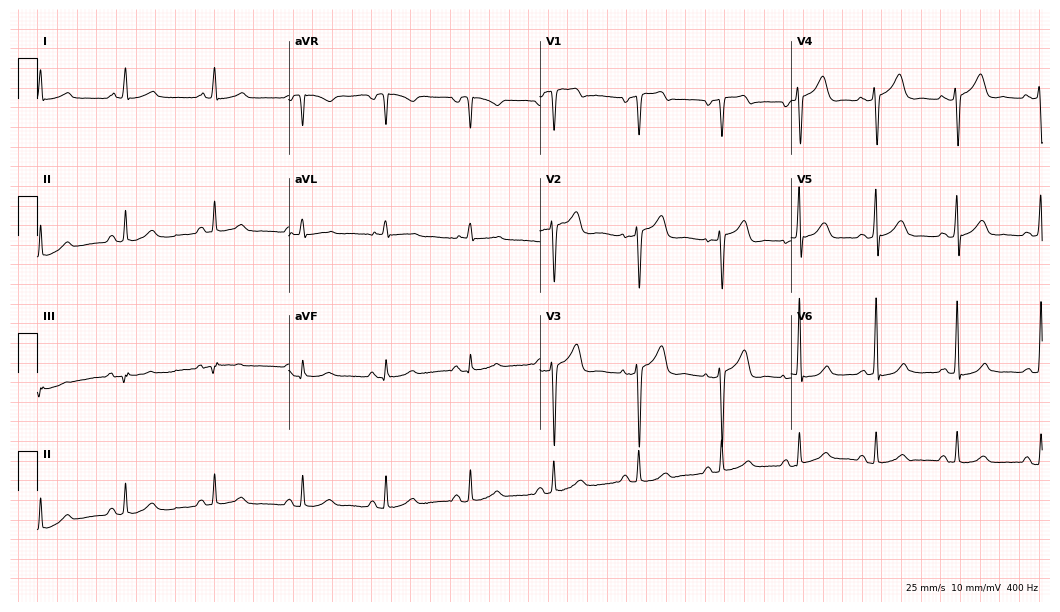
Standard 12-lead ECG recorded from a 54-year-old female (10.2-second recording at 400 Hz). Read as a normal ECG.